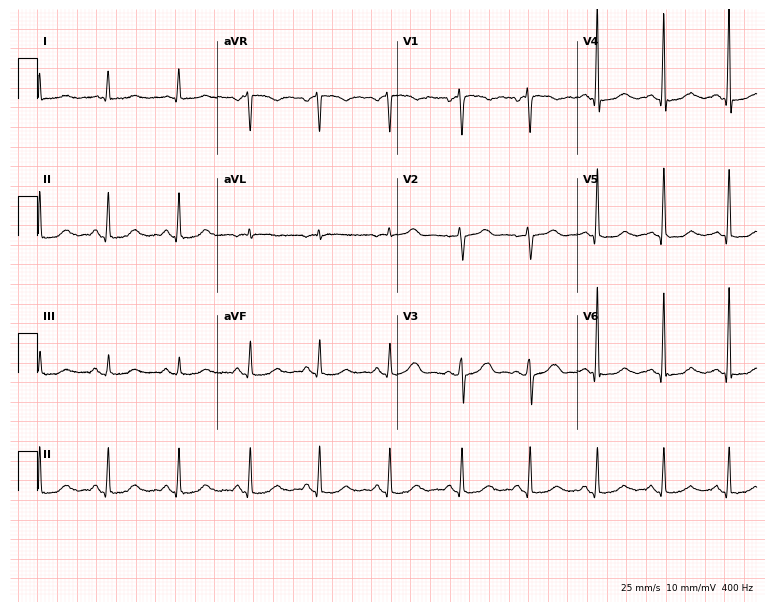
Standard 12-lead ECG recorded from a woman, 62 years old. Read as a normal ECG.